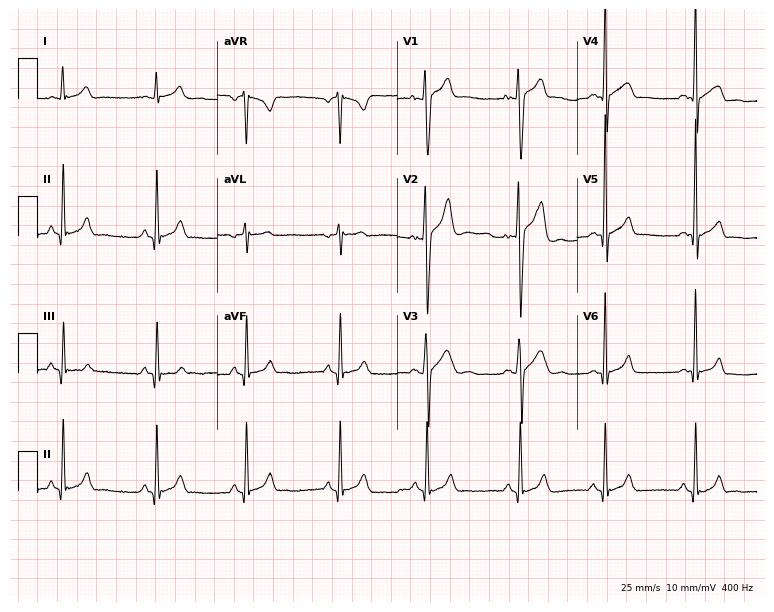
Resting 12-lead electrocardiogram (7.3-second recording at 400 Hz). Patient: a male, 21 years old. Read as a normal ECG.